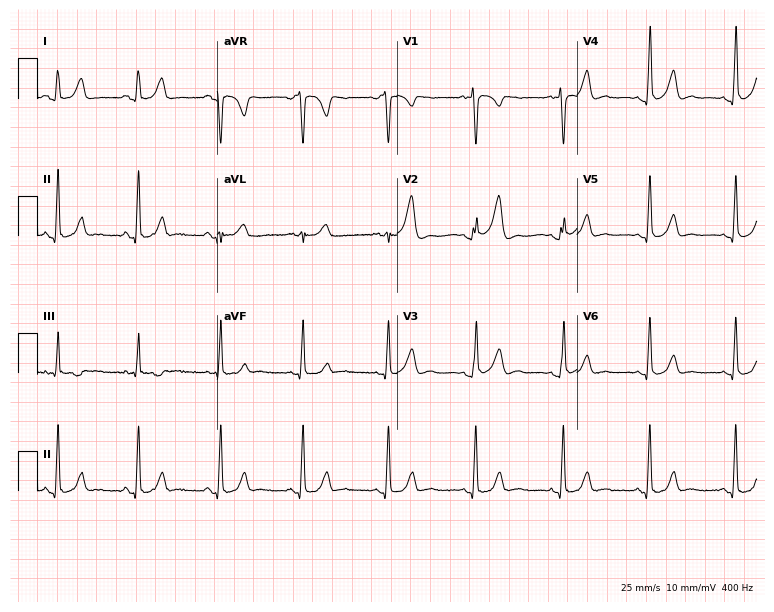
12-lead ECG from a female, 18 years old. Labelled as a normal ECG.